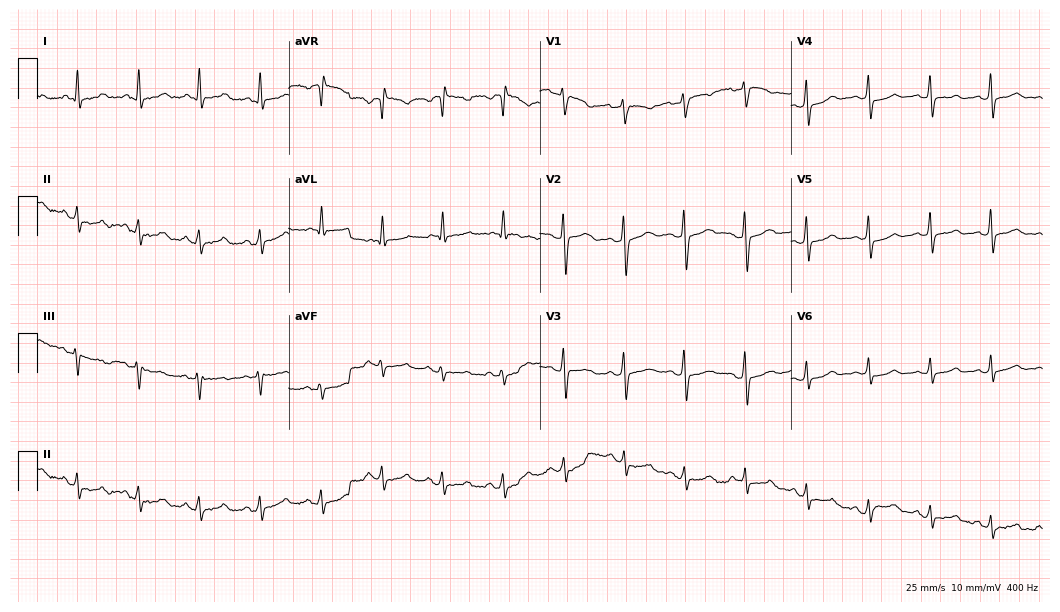
Electrocardiogram, a 32-year-old female. Of the six screened findings (first-degree AV block, right bundle branch block, left bundle branch block, sinus bradycardia, atrial fibrillation, sinus tachycardia), none is recorded. Other findings, if any, are not listed.